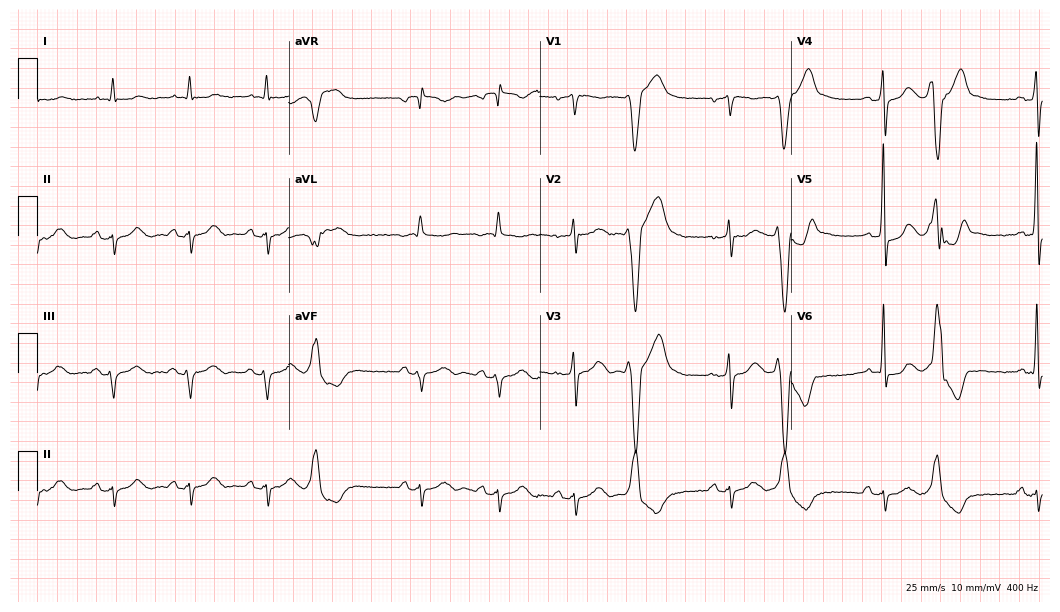
12-lead ECG from an 83-year-old man. No first-degree AV block, right bundle branch block (RBBB), left bundle branch block (LBBB), sinus bradycardia, atrial fibrillation (AF) or sinus tachycardia recorded for this tracing.